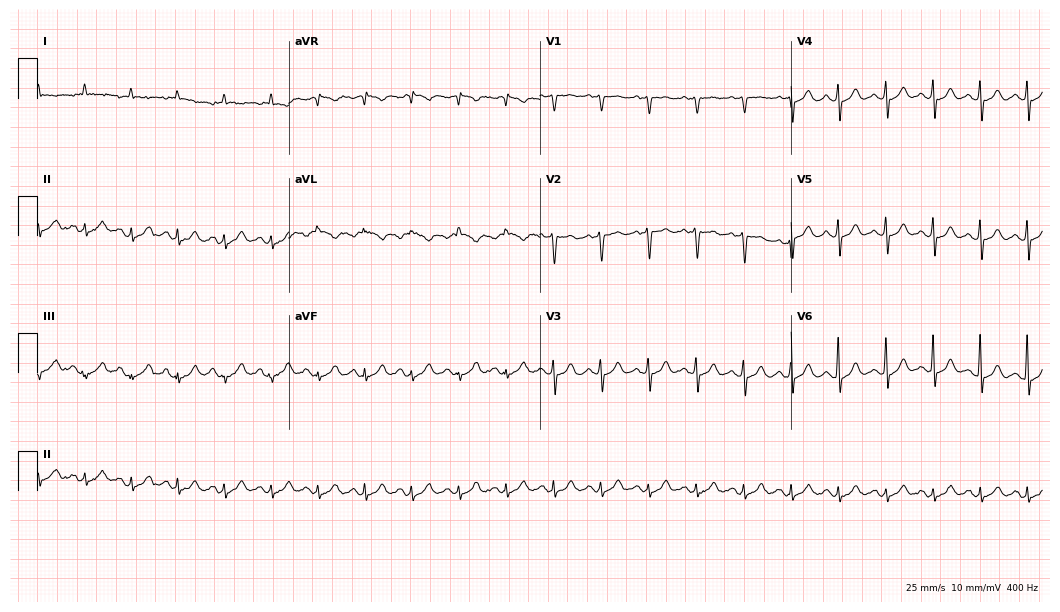
12-lead ECG from a female, 68 years old (10.2-second recording at 400 Hz). Shows sinus tachycardia (a sinus rate of 100 beats per minute or more).